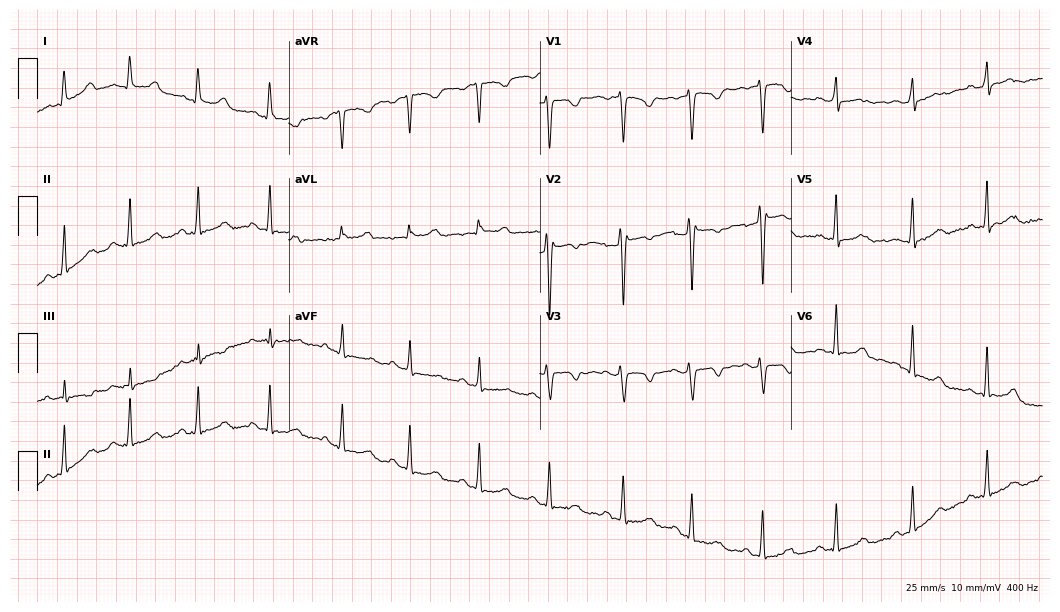
12-lead ECG from a 30-year-old woman (10.2-second recording at 400 Hz). No first-degree AV block, right bundle branch block, left bundle branch block, sinus bradycardia, atrial fibrillation or sinus tachycardia recorded for this tracing.